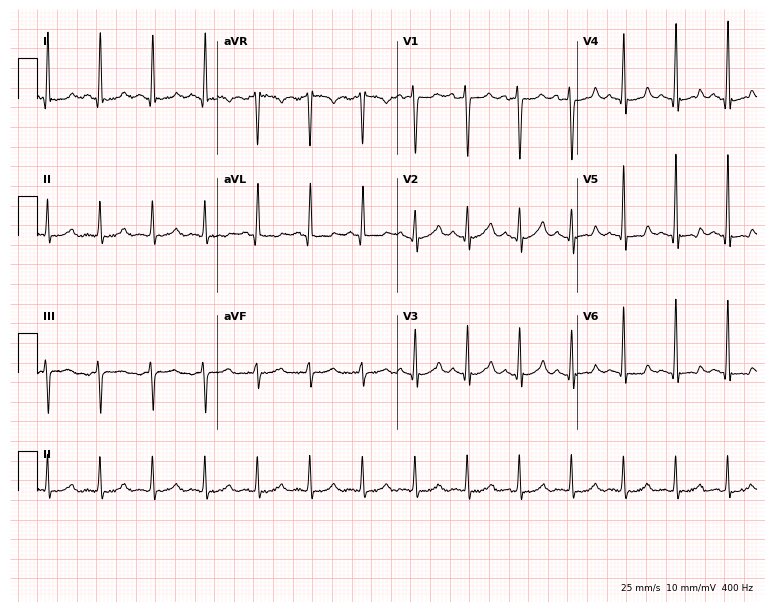
12-lead ECG from a female patient, 46 years old. Findings include sinus tachycardia (a sinus rate of 100 beats per minute or more).